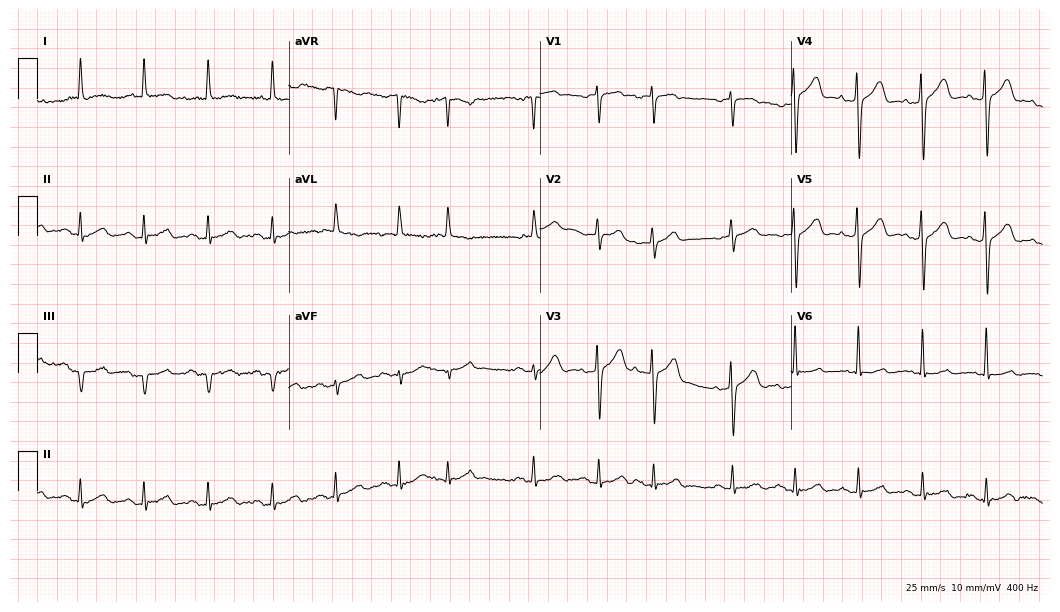
Standard 12-lead ECG recorded from a female, 81 years old. None of these six findings is recorded: first-degree AV block, right bundle branch block (RBBB), left bundle branch block (LBBB), sinus bradycardia, atrial fibrillation (AF), sinus tachycardia.